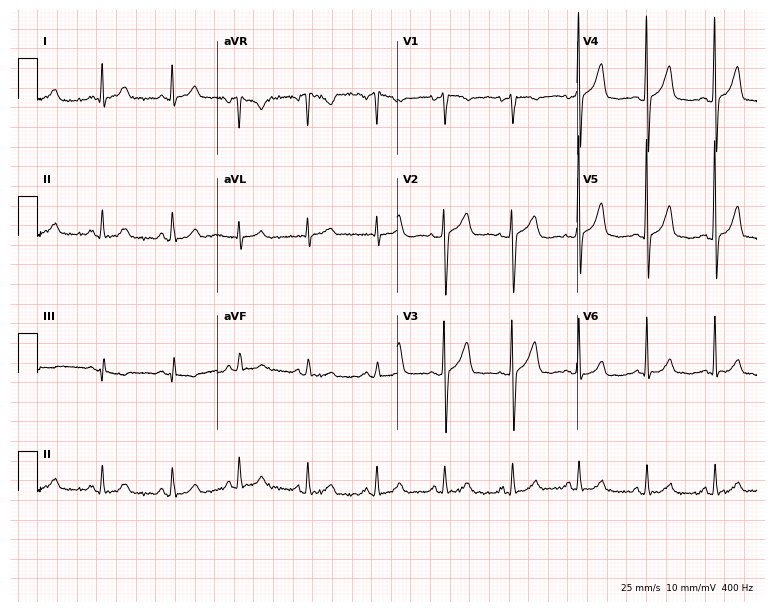
Electrocardiogram, a 75-year-old woman. Overall reading on record: normal ECG.